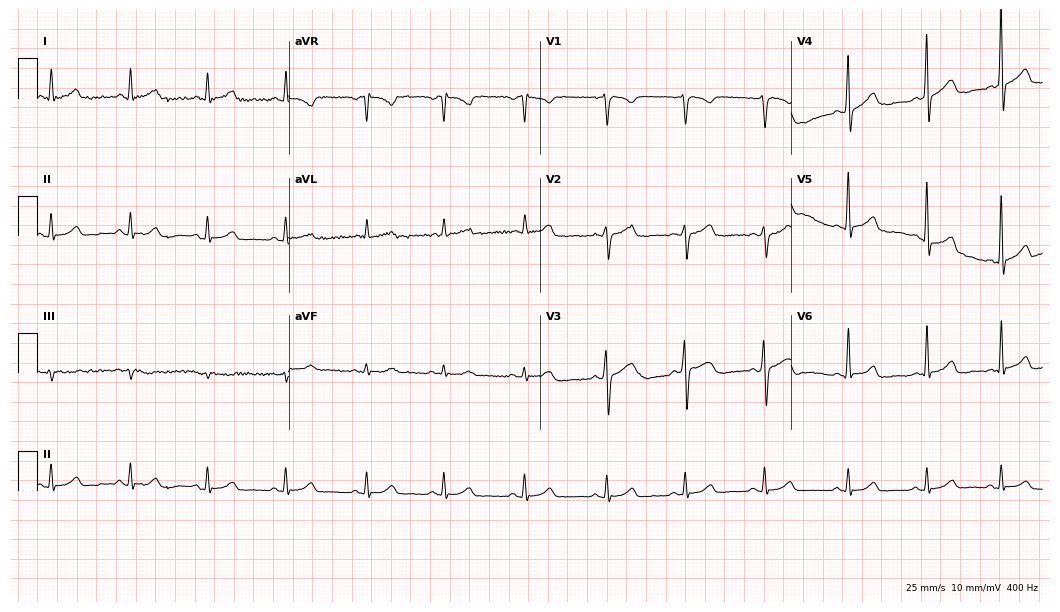
Standard 12-lead ECG recorded from a female patient, 33 years old (10.2-second recording at 400 Hz). None of these six findings is recorded: first-degree AV block, right bundle branch block (RBBB), left bundle branch block (LBBB), sinus bradycardia, atrial fibrillation (AF), sinus tachycardia.